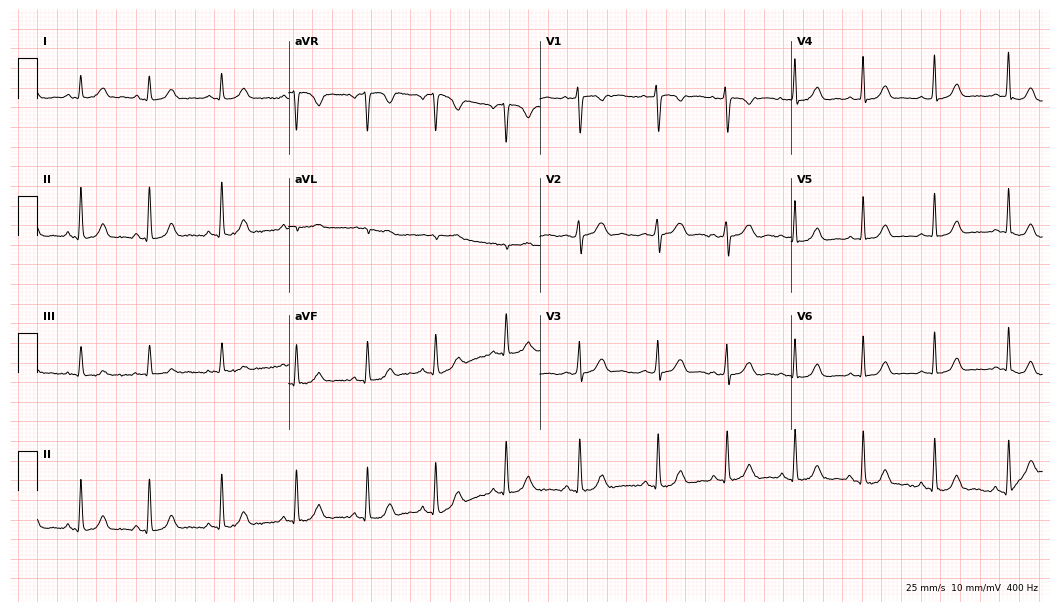
Resting 12-lead electrocardiogram (10.2-second recording at 400 Hz). Patient: a 21-year-old woman. Read as a normal ECG.